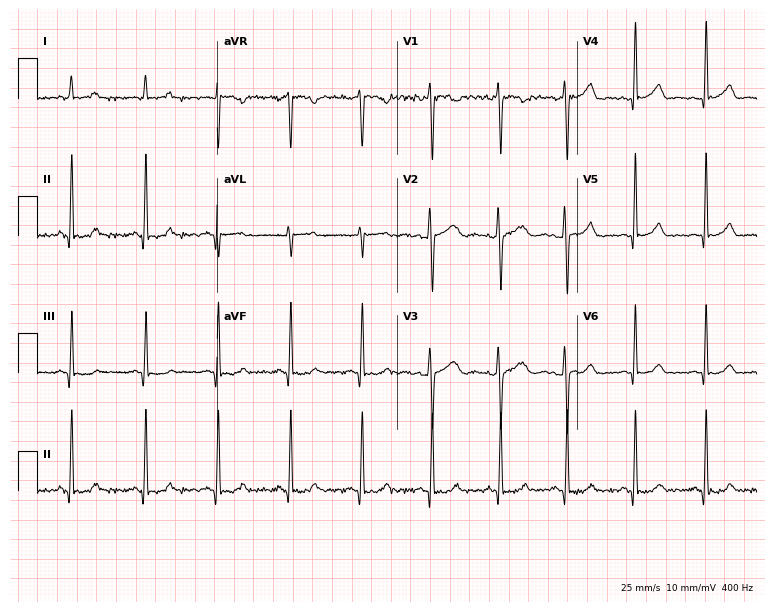
12-lead ECG from a woman, 31 years old. Labelled as a normal ECG.